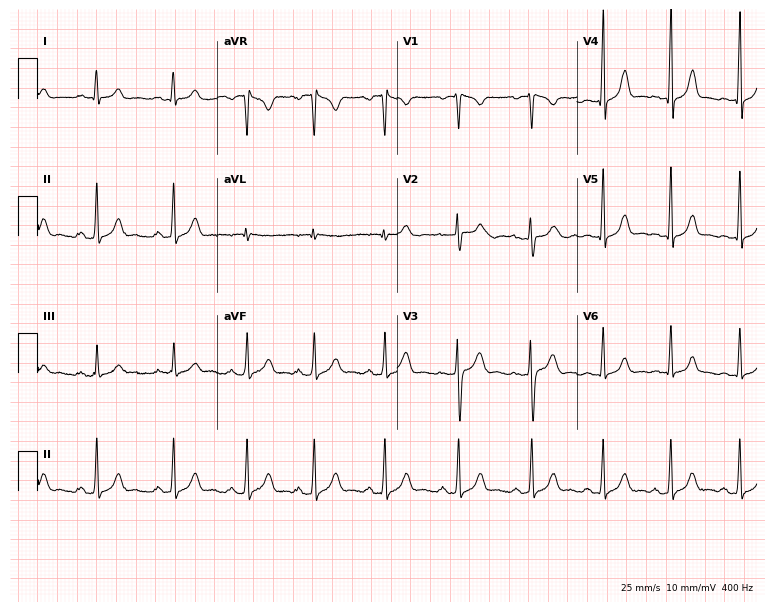
Standard 12-lead ECG recorded from a woman, 19 years old (7.3-second recording at 400 Hz). Read as a normal ECG.